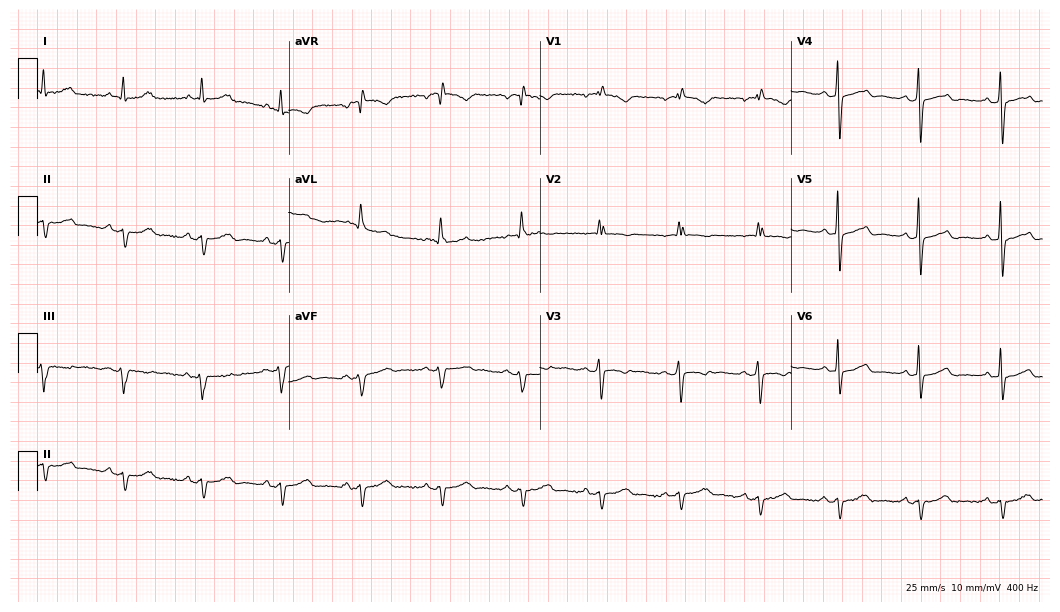
12-lead ECG (10.2-second recording at 400 Hz) from a 66-year-old female. Screened for six findings — first-degree AV block, right bundle branch block, left bundle branch block, sinus bradycardia, atrial fibrillation, sinus tachycardia — none is recorded. Other findings, if any, are not listed.